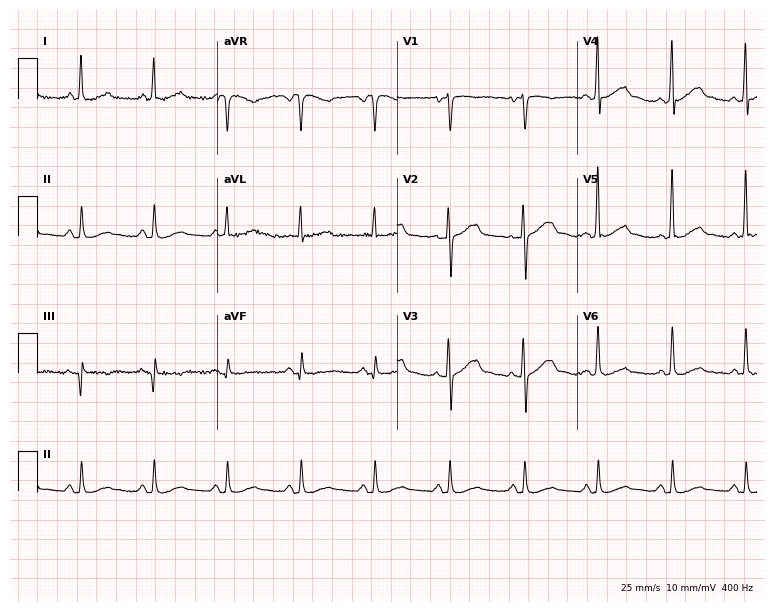
Electrocardiogram, a female, 45 years old. Of the six screened findings (first-degree AV block, right bundle branch block (RBBB), left bundle branch block (LBBB), sinus bradycardia, atrial fibrillation (AF), sinus tachycardia), none is recorded. Only these six findings were labelled.